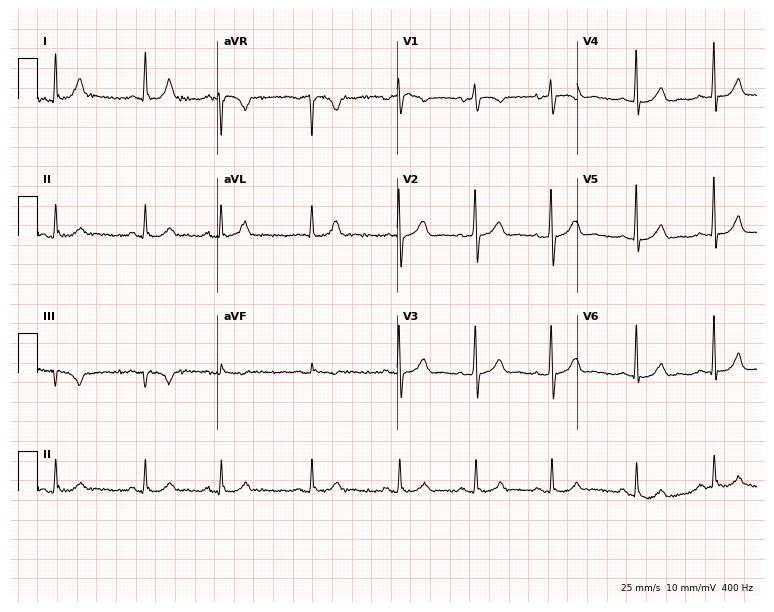
Standard 12-lead ECG recorded from a 66-year-old woman. None of these six findings is recorded: first-degree AV block, right bundle branch block, left bundle branch block, sinus bradycardia, atrial fibrillation, sinus tachycardia.